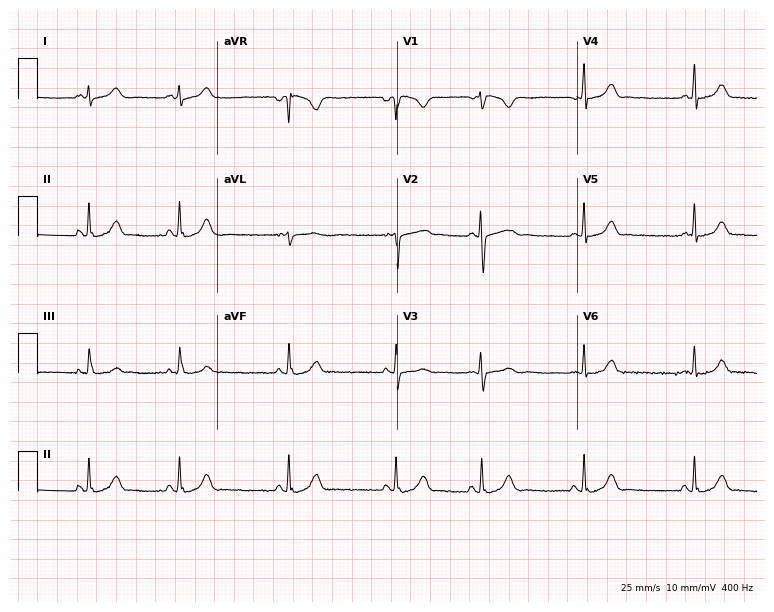
Standard 12-lead ECG recorded from a female, 20 years old (7.3-second recording at 400 Hz). None of these six findings is recorded: first-degree AV block, right bundle branch block, left bundle branch block, sinus bradycardia, atrial fibrillation, sinus tachycardia.